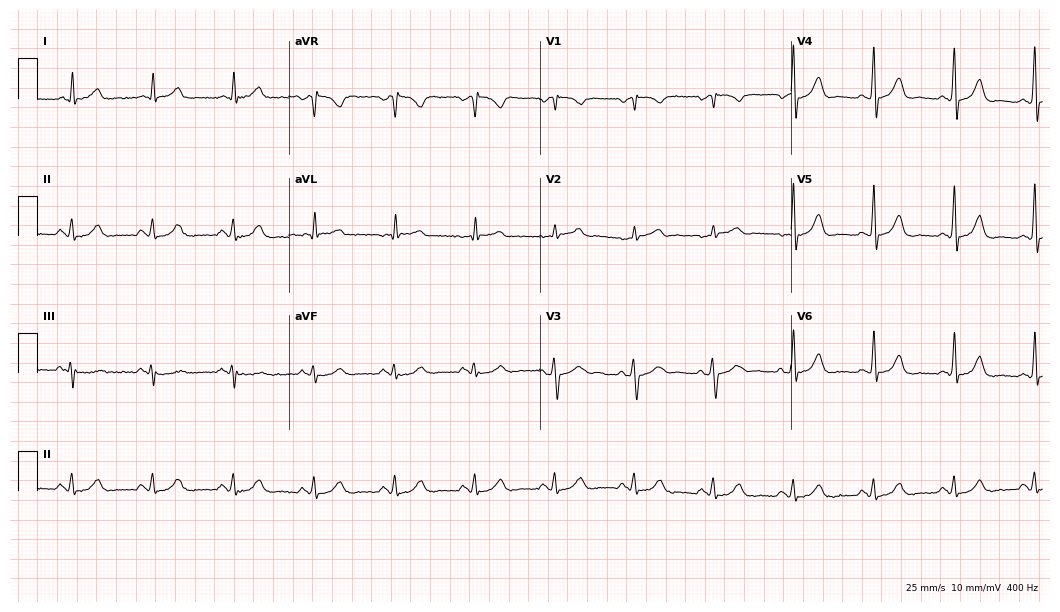
12-lead ECG (10.2-second recording at 400 Hz) from a 65-year-old male patient. Labelled as a normal ECG.